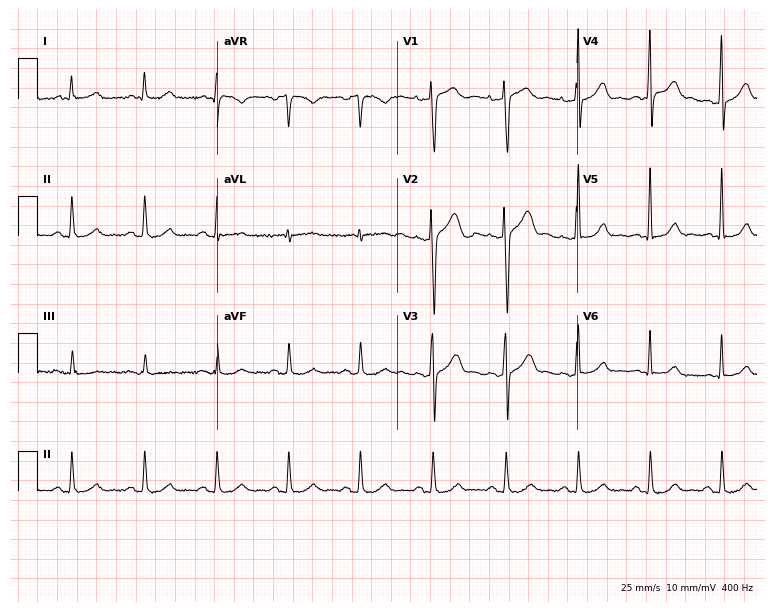
12-lead ECG (7.3-second recording at 400 Hz) from a male, 41 years old. Screened for six findings — first-degree AV block, right bundle branch block (RBBB), left bundle branch block (LBBB), sinus bradycardia, atrial fibrillation (AF), sinus tachycardia — none is recorded.